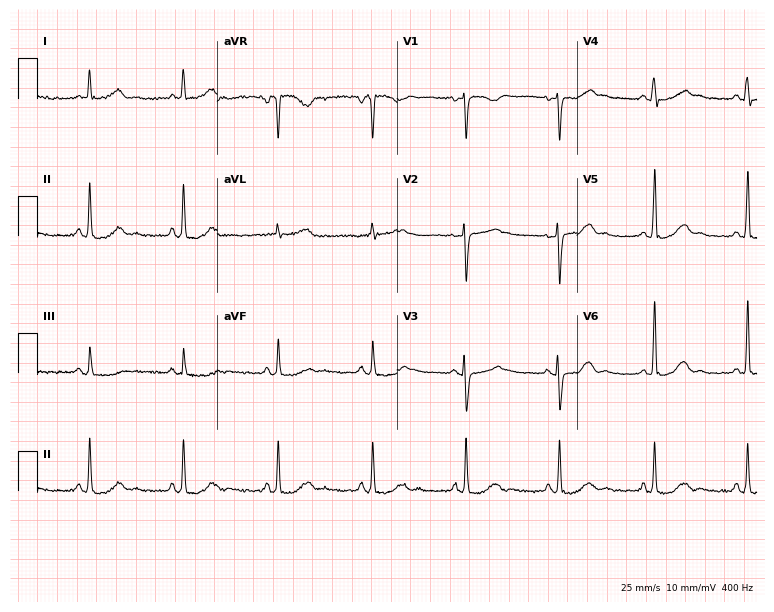
Electrocardiogram (7.3-second recording at 400 Hz), a female patient, 51 years old. Overall reading on record: normal ECG.